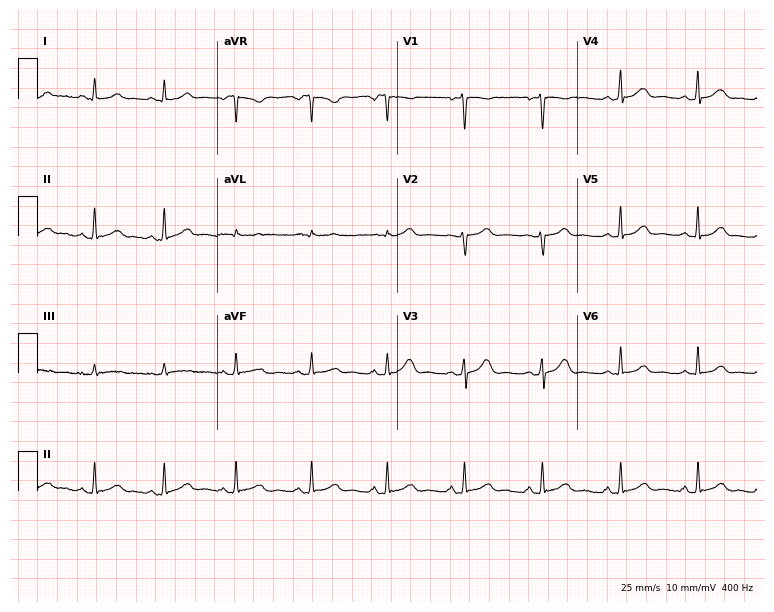
12-lead ECG (7.3-second recording at 400 Hz) from a 19-year-old man. Labelled as a normal ECG.